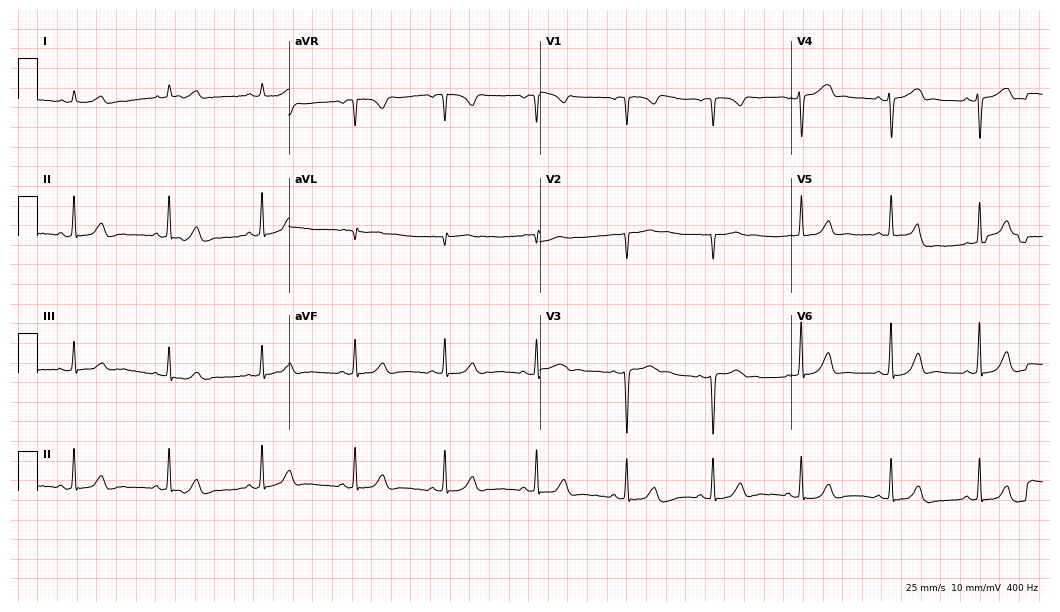
ECG — a female, 43 years old. Labelled as a normal ECG.